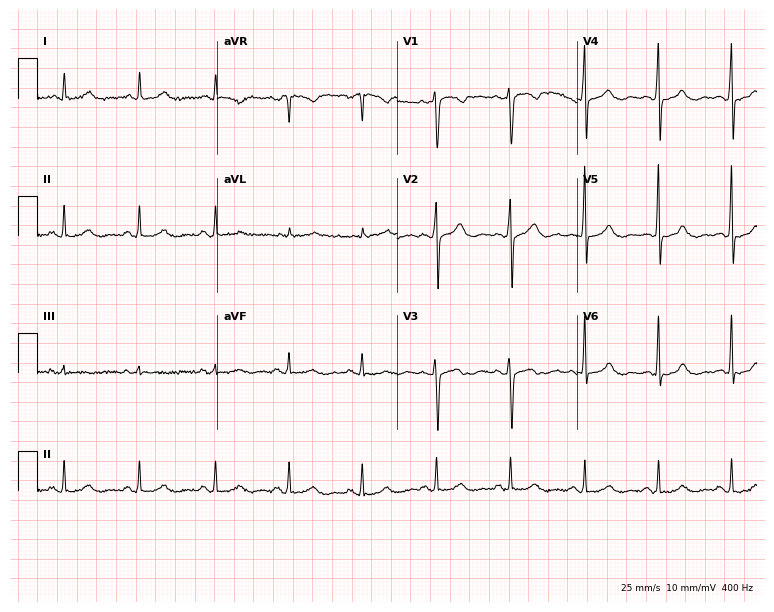
12-lead ECG from a female, 44 years old. Labelled as a normal ECG.